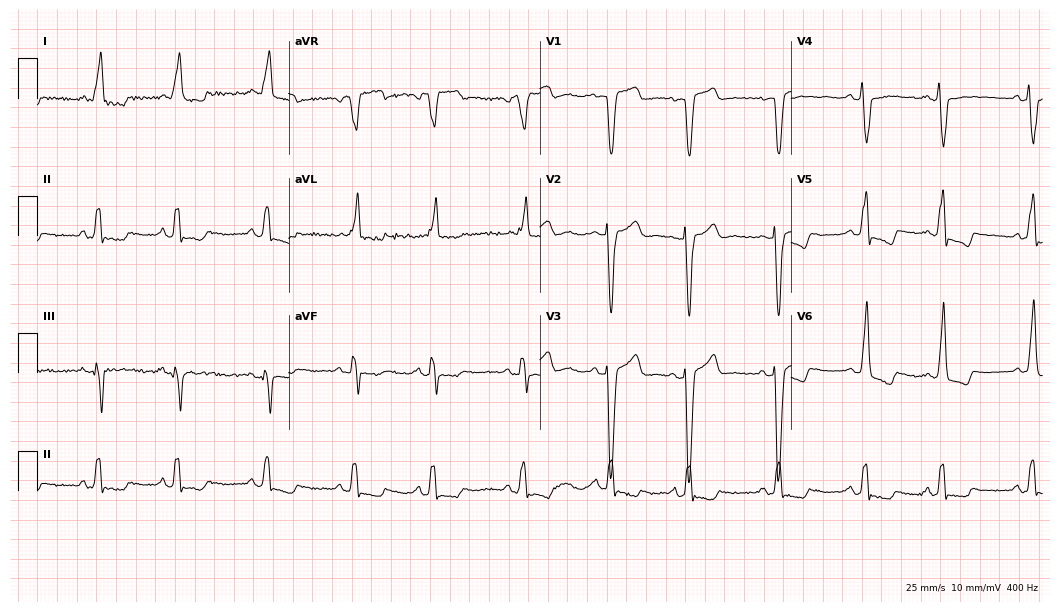
Resting 12-lead electrocardiogram. Patient: a 79-year-old woman. The tracing shows left bundle branch block (LBBB).